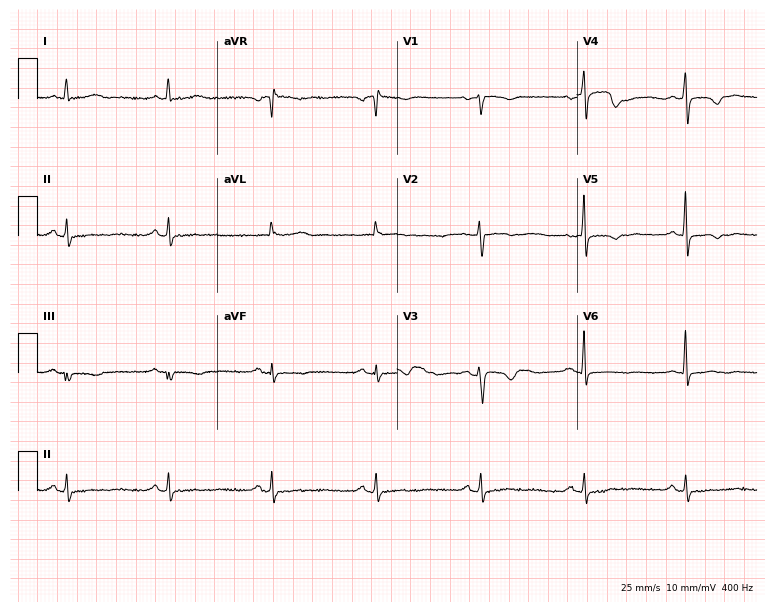
Electrocardiogram (7.3-second recording at 400 Hz), a 49-year-old female patient. Of the six screened findings (first-degree AV block, right bundle branch block, left bundle branch block, sinus bradycardia, atrial fibrillation, sinus tachycardia), none is recorded.